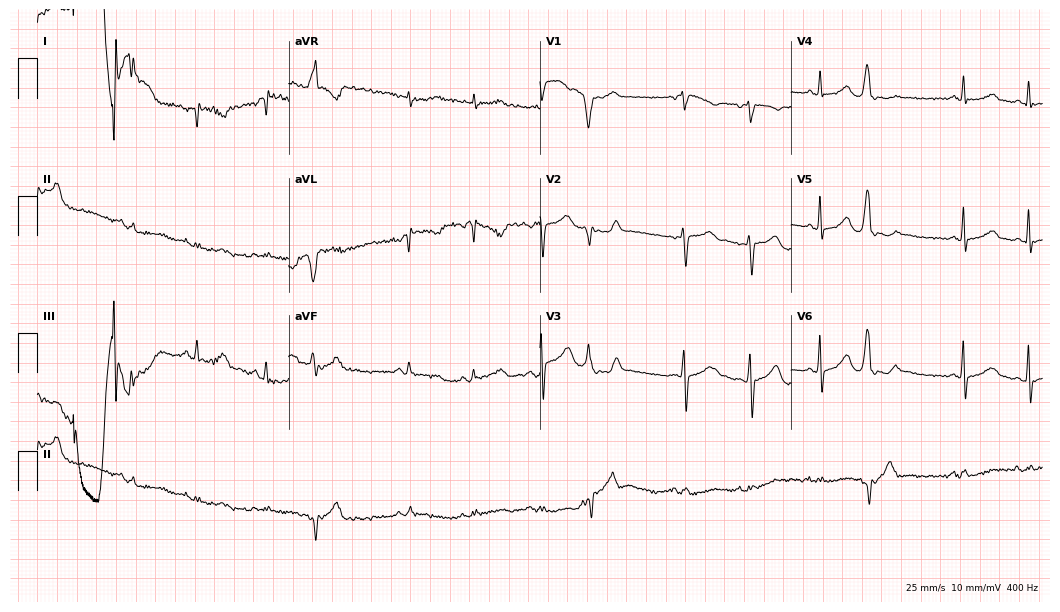
Standard 12-lead ECG recorded from a woman, 48 years old (10.2-second recording at 400 Hz). None of these six findings is recorded: first-degree AV block, right bundle branch block, left bundle branch block, sinus bradycardia, atrial fibrillation, sinus tachycardia.